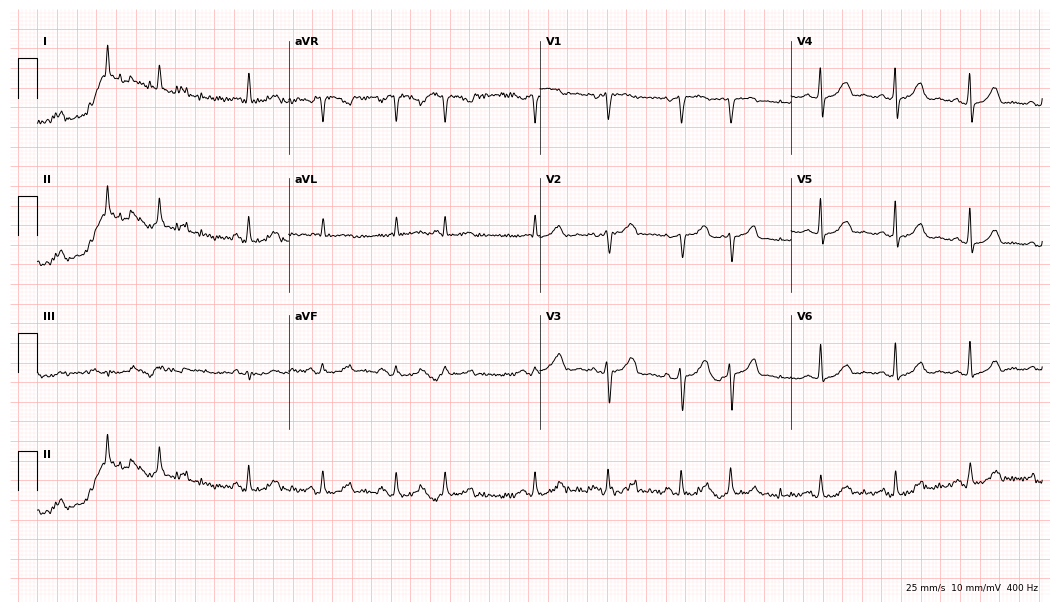
12-lead ECG (10.2-second recording at 400 Hz) from a 78-year-old woman. Screened for six findings — first-degree AV block, right bundle branch block, left bundle branch block, sinus bradycardia, atrial fibrillation, sinus tachycardia — none is recorded. Findings outside these six are not listed.